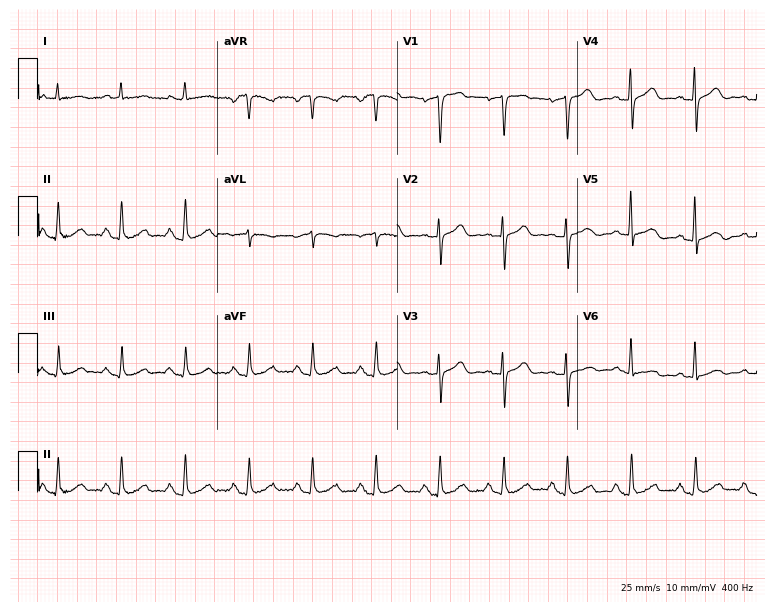
Electrocardiogram, a 64-year-old woman. Of the six screened findings (first-degree AV block, right bundle branch block, left bundle branch block, sinus bradycardia, atrial fibrillation, sinus tachycardia), none is recorded.